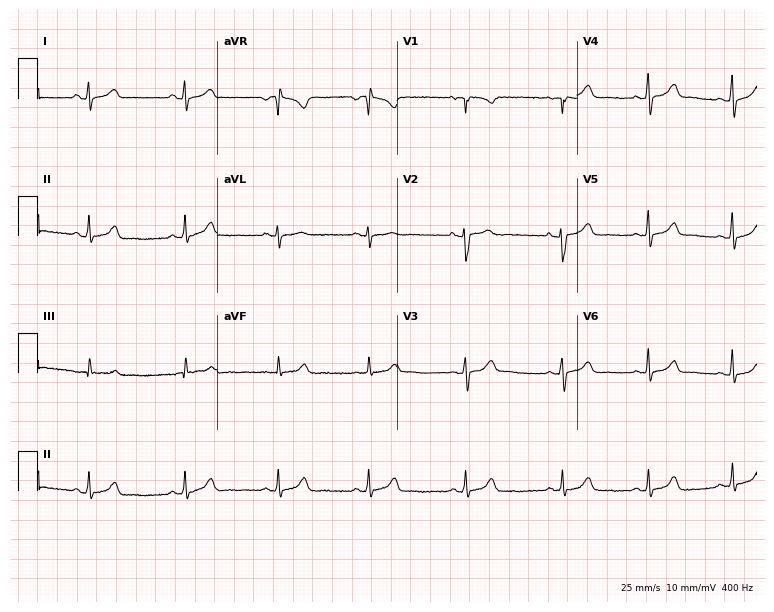
ECG — a 19-year-old woman. Labelled as a normal ECG.